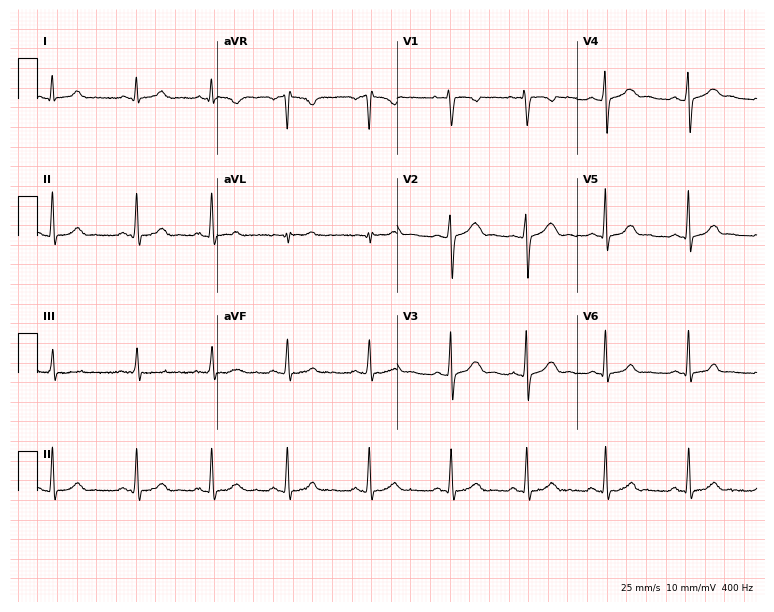
ECG (7.3-second recording at 400 Hz) — a 19-year-old woman. Labelled as a normal ECG.